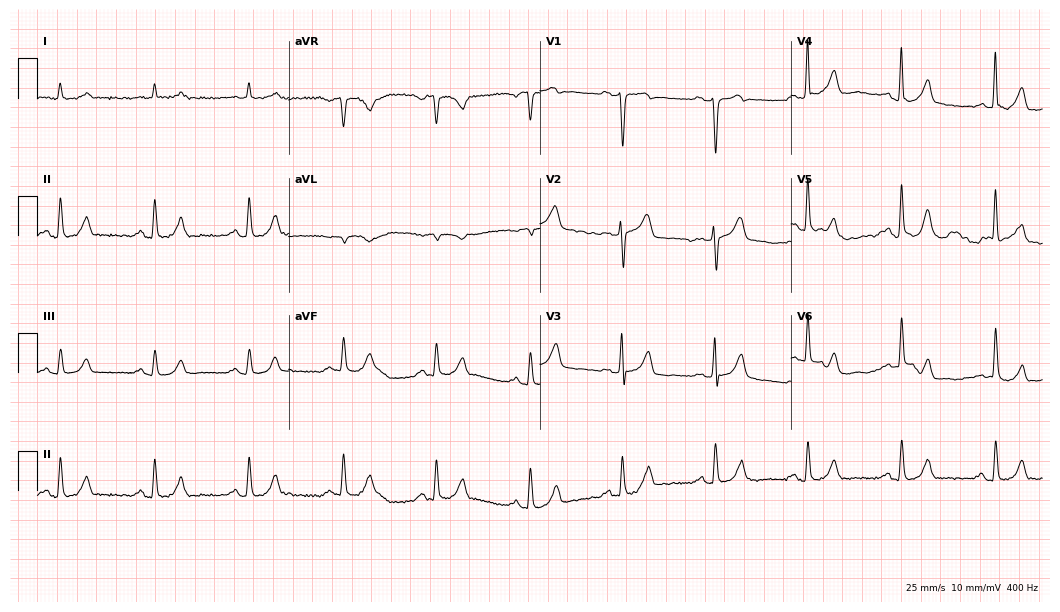
Resting 12-lead electrocardiogram. Patient: a male, 79 years old. Read as a normal ECG.